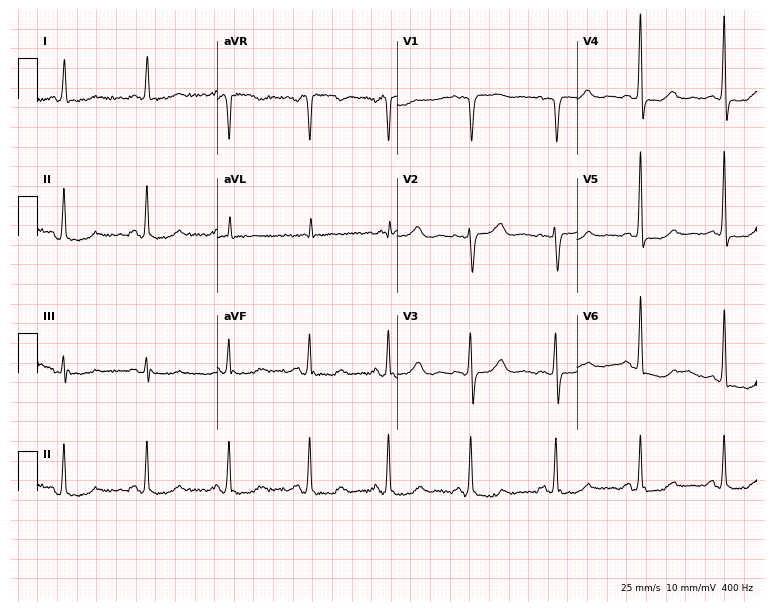
12-lead ECG (7.3-second recording at 400 Hz) from a 69-year-old woman. Screened for six findings — first-degree AV block, right bundle branch block, left bundle branch block, sinus bradycardia, atrial fibrillation, sinus tachycardia — none is recorded.